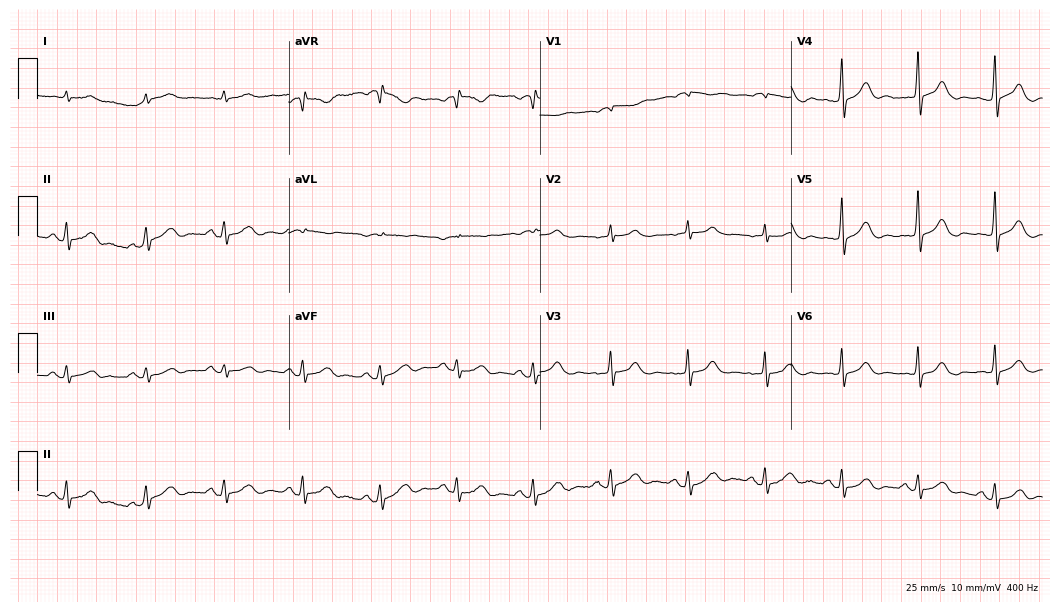
Electrocardiogram, a male, 81 years old. Overall reading on record: normal ECG.